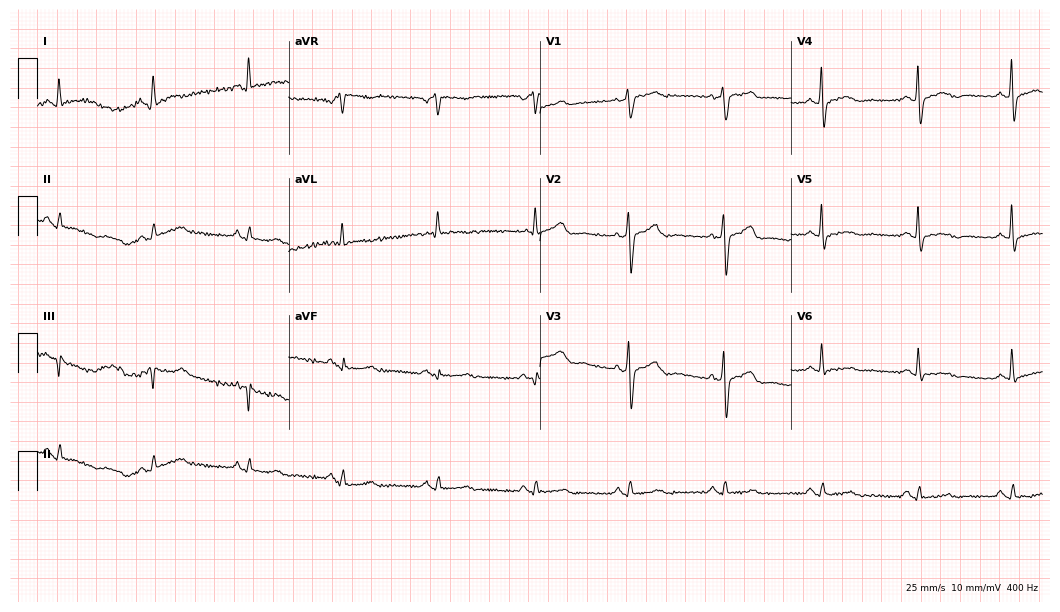
Standard 12-lead ECG recorded from a female, 46 years old. None of these six findings is recorded: first-degree AV block, right bundle branch block (RBBB), left bundle branch block (LBBB), sinus bradycardia, atrial fibrillation (AF), sinus tachycardia. Only these six findings were labelled.